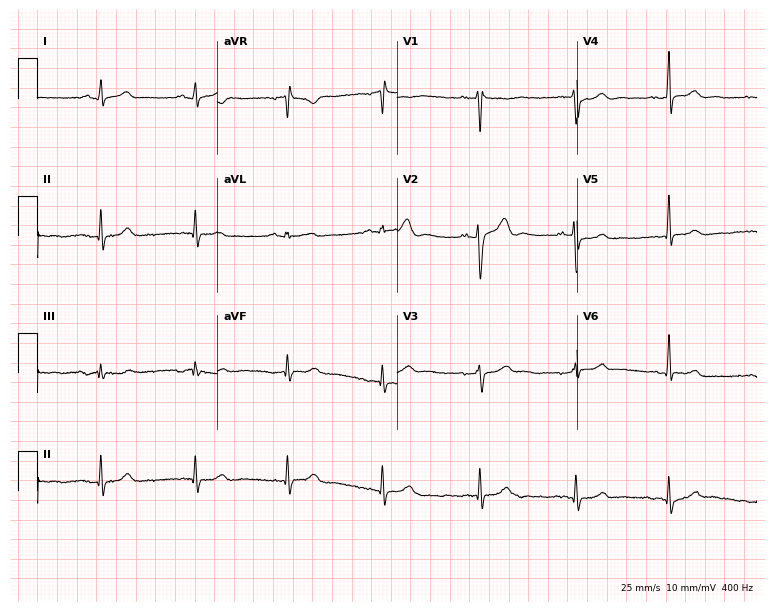
12-lead ECG from a man, 37 years old. Recorded interpretation: within normal limits.